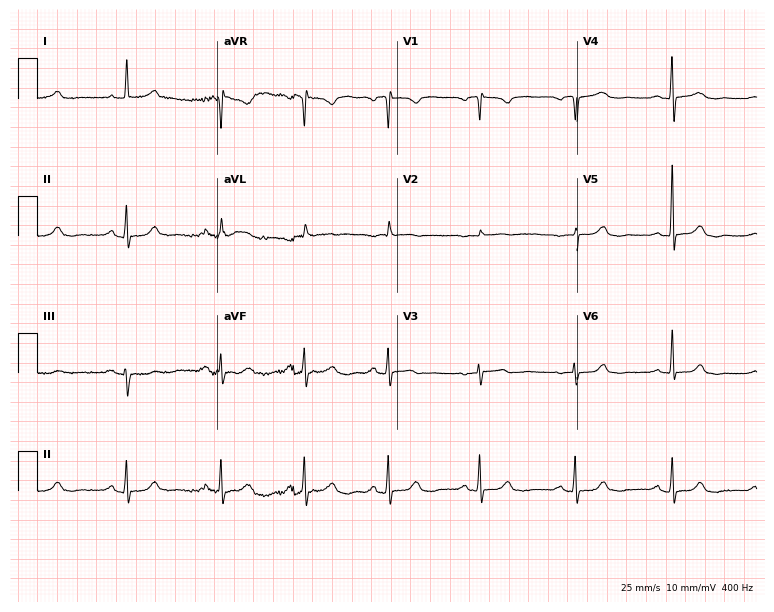
12-lead ECG from a 73-year-old woman (7.3-second recording at 400 Hz). No first-degree AV block, right bundle branch block (RBBB), left bundle branch block (LBBB), sinus bradycardia, atrial fibrillation (AF) or sinus tachycardia recorded for this tracing. Findings outside these six are not listed.